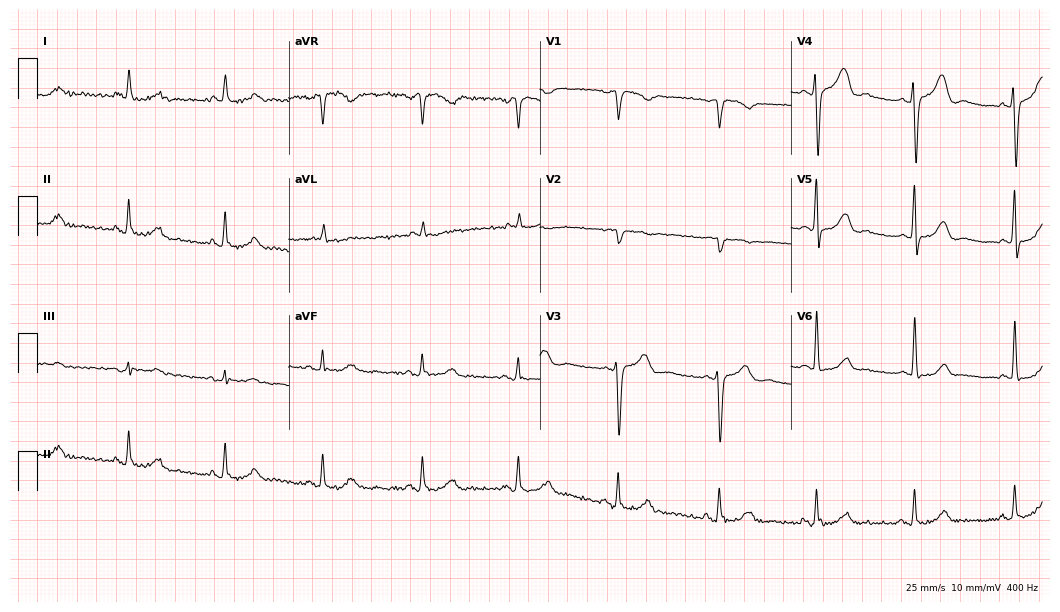
Electrocardiogram, a 48-year-old female patient. Of the six screened findings (first-degree AV block, right bundle branch block (RBBB), left bundle branch block (LBBB), sinus bradycardia, atrial fibrillation (AF), sinus tachycardia), none is recorded. Other findings, if any, are not listed.